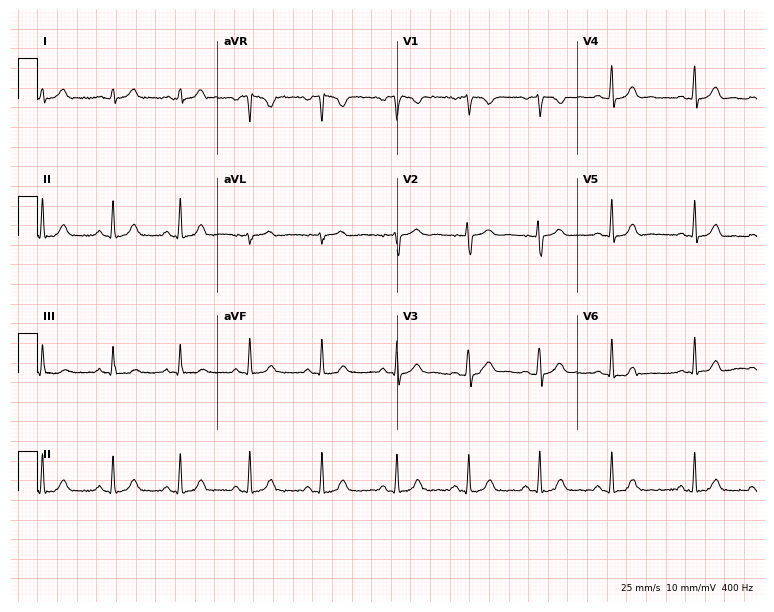
12-lead ECG from a woman, 18 years old. Recorded interpretation: within normal limits.